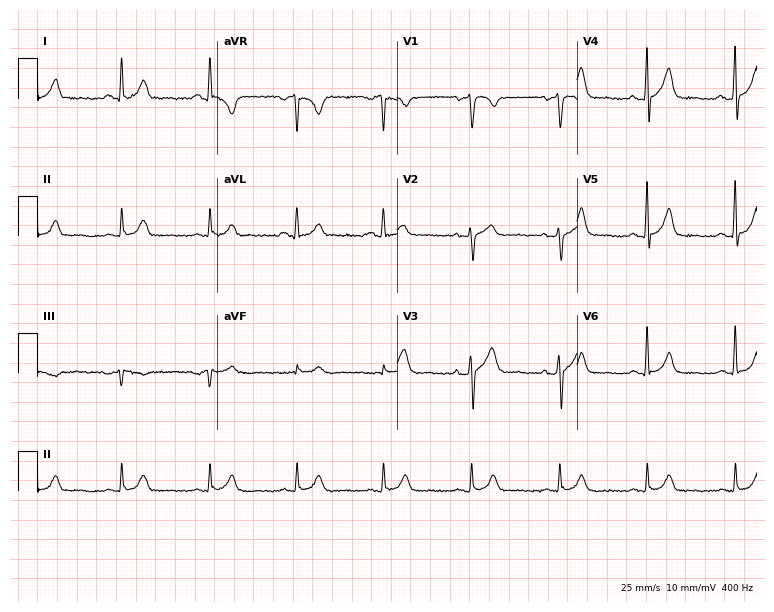
12-lead ECG from a 64-year-old female (7.3-second recording at 400 Hz). Recorded interpretation: within normal limits.